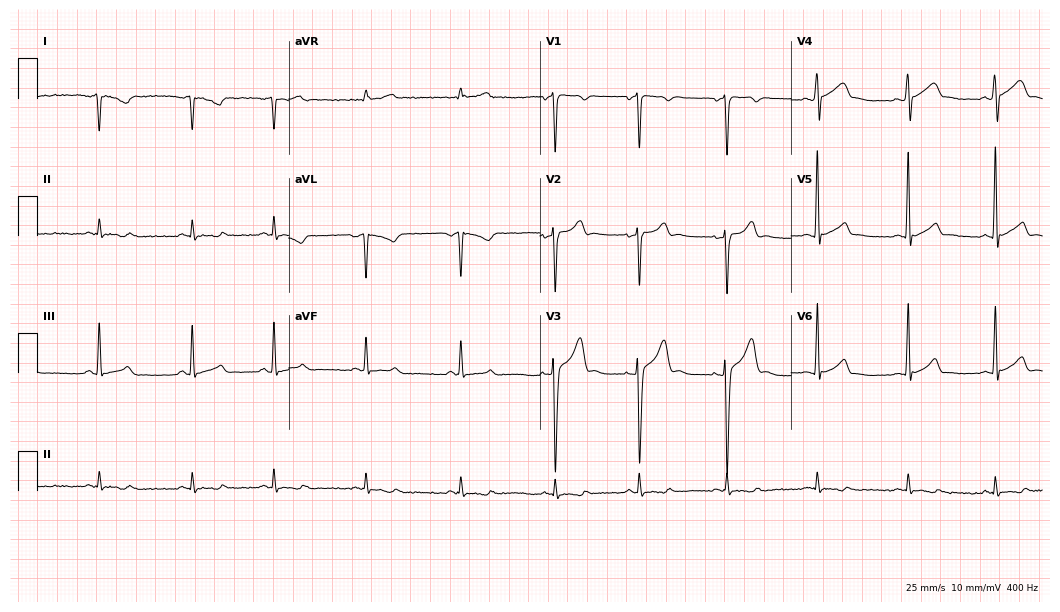
12-lead ECG (10.2-second recording at 400 Hz) from a male patient, 30 years old. Screened for six findings — first-degree AV block, right bundle branch block, left bundle branch block, sinus bradycardia, atrial fibrillation, sinus tachycardia — none is recorded. Other findings, if any, are not listed.